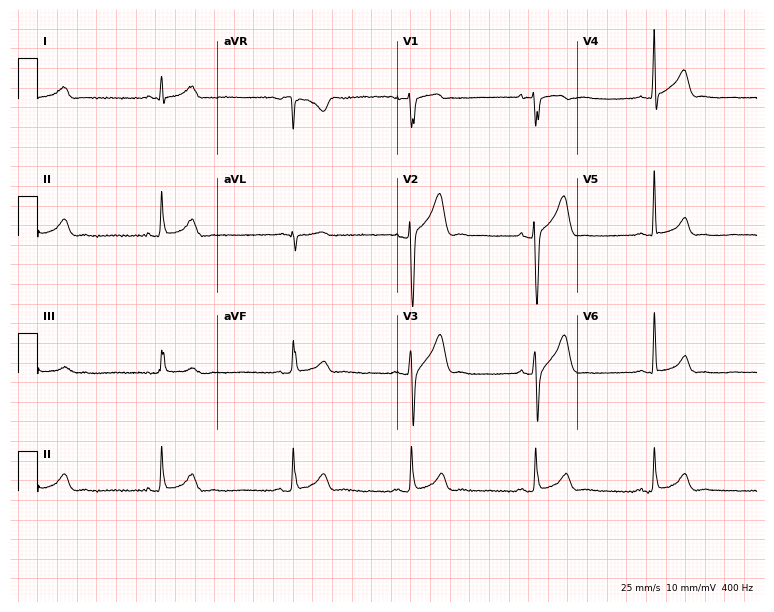
12-lead ECG from a male patient, 32 years old. Findings include sinus bradycardia (a sinus rate of 50 beats per minute or less).